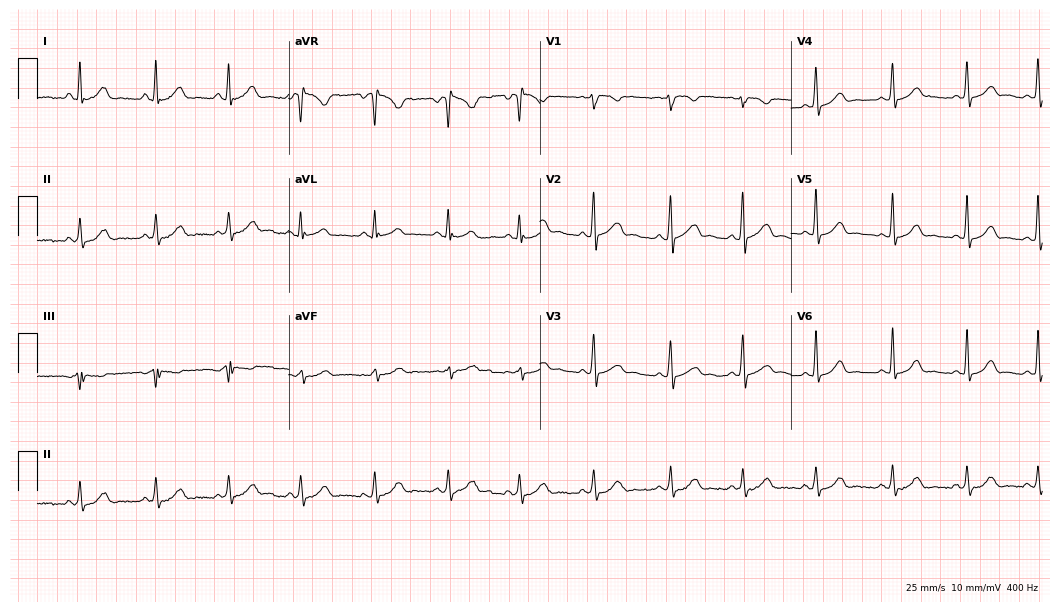
Electrocardiogram (10.2-second recording at 400 Hz), a 17-year-old female patient. Of the six screened findings (first-degree AV block, right bundle branch block (RBBB), left bundle branch block (LBBB), sinus bradycardia, atrial fibrillation (AF), sinus tachycardia), none is recorded.